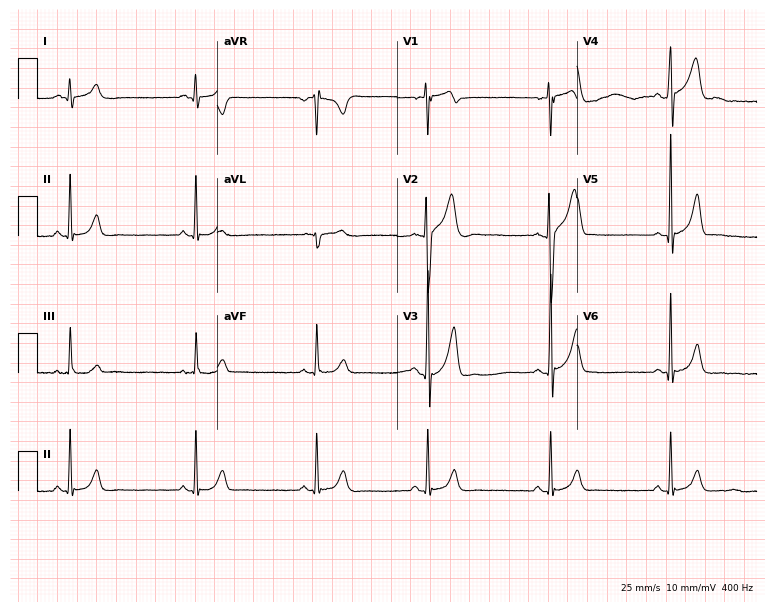
ECG — a 21-year-old male patient. Labelled as a normal ECG.